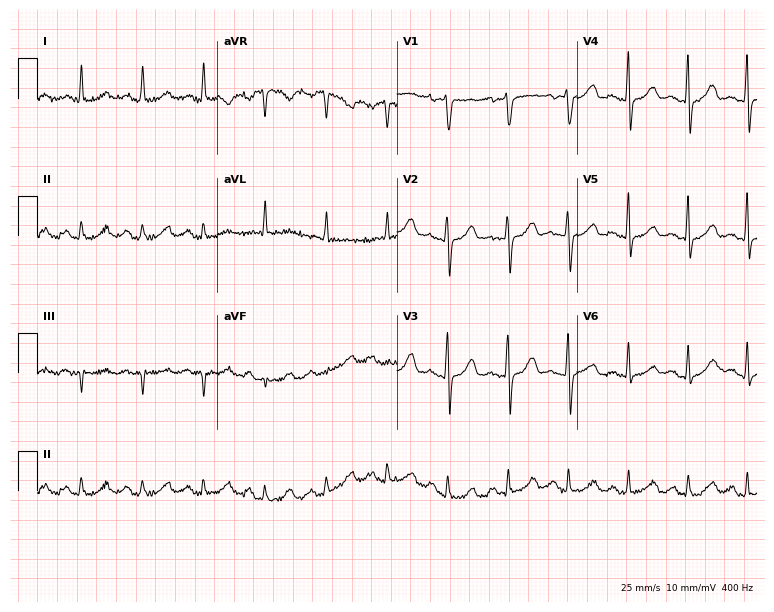
Electrocardiogram (7.3-second recording at 400 Hz), a 48-year-old female. Of the six screened findings (first-degree AV block, right bundle branch block, left bundle branch block, sinus bradycardia, atrial fibrillation, sinus tachycardia), none is recorded. Only these six findings were labelled.